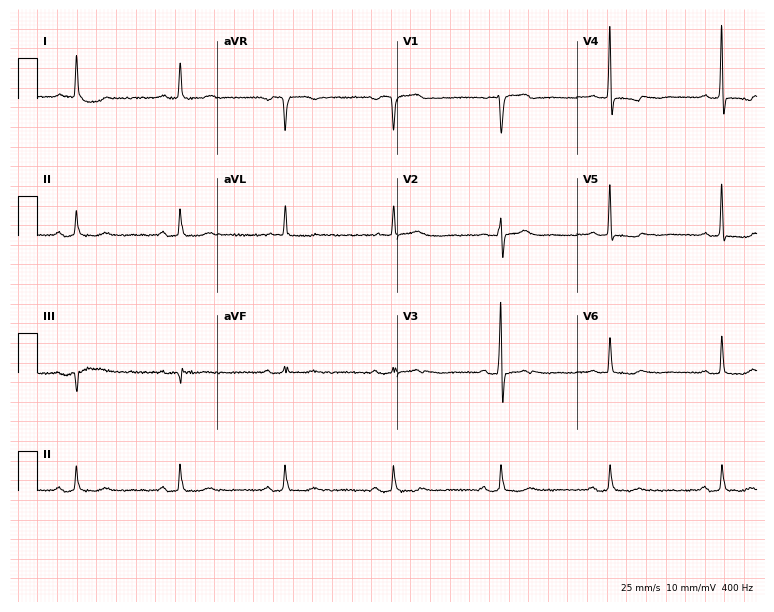
Resting 12-lead electrocardiogram. Patient: a 72-year-old woman. None of these six findings is recorded: first-degree AV block, right bundle branch block, left bundle branch block, sinus bradycardia, atrial fibrillation, sinus tachycardia. Only these six findings were labelled.